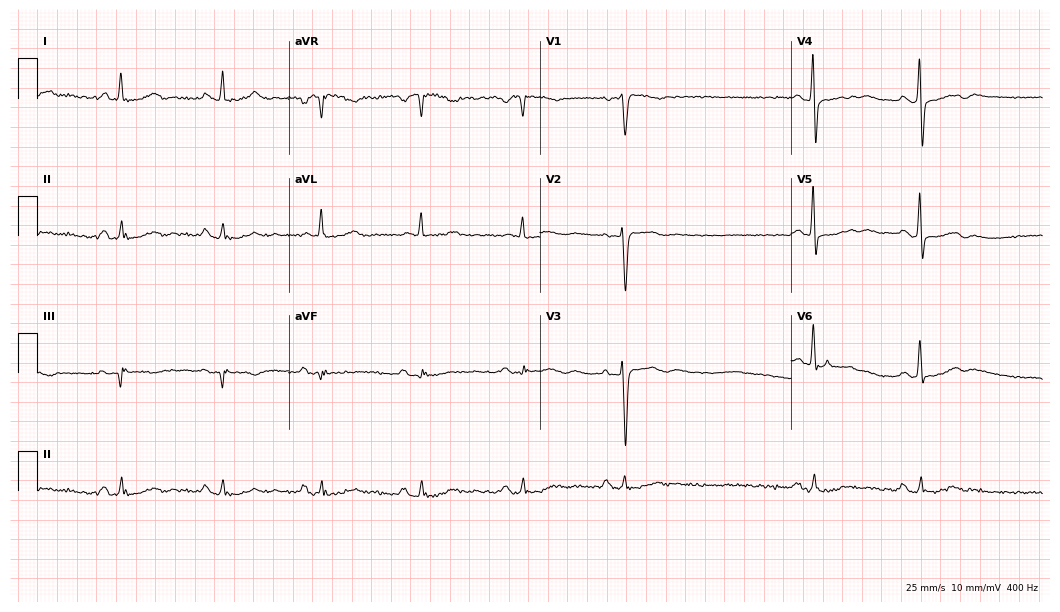
ECG (10.2-second recording at 400 Hz) — a 74-year-old female. Labelled as a normal ECG.